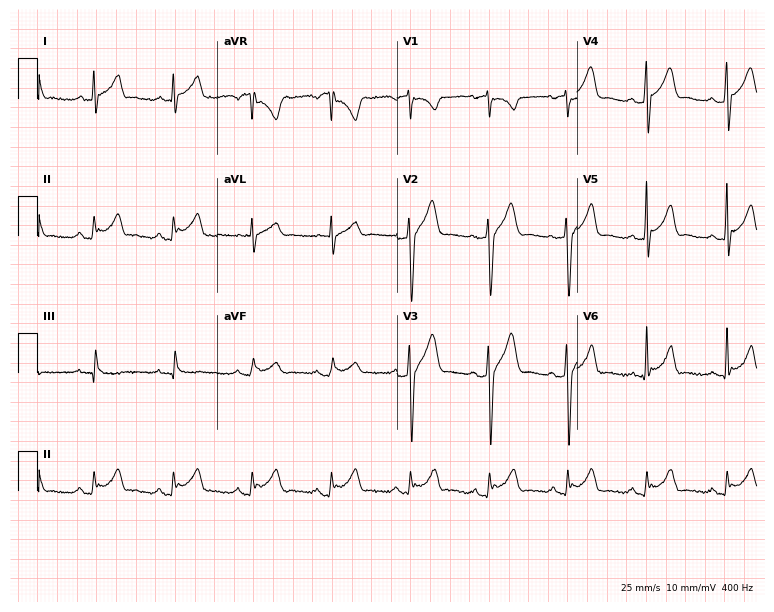
12-lead ECG from a male patient, 39 years old (7.3-second recording at 400 Hz). No first-degree AV block, right bundle branch block, left bundle branch block, sinus bradycardia, atrial fibrillation or sinus tachycardia recorded for this tracing. Findings outside these six are not listed.